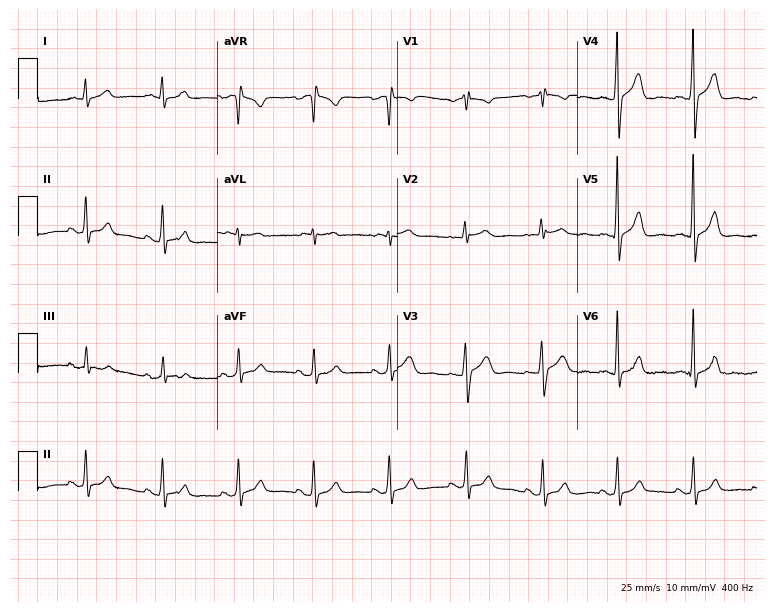
Standard 12-lead ECG recorded from a male patient, 49 years old. None of these six findings is recorded: first-degree AV block, right bundle branch block, left bundle branch block, sinus bradycardia, atrial fibrillation, sinus tachycardia.